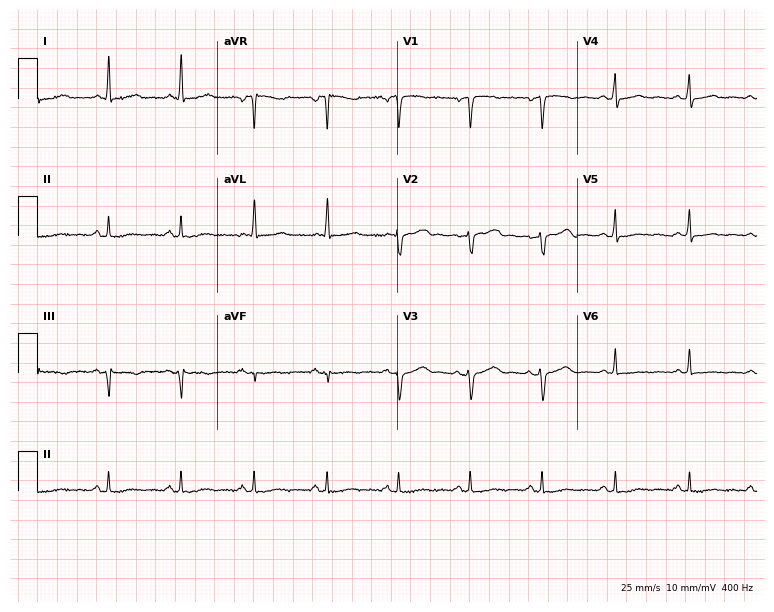
ECG — a 43-year-old woman. Labelled as a normal ECG.